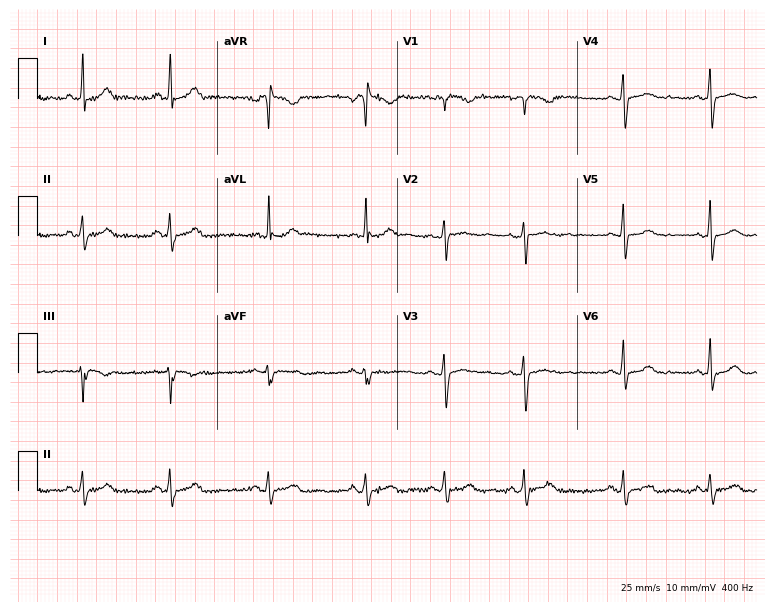
Standard 12-lead ECG recorded from a woman, 27 years old (7.3-second recording at 400 Hz). Read as a normal ECG.